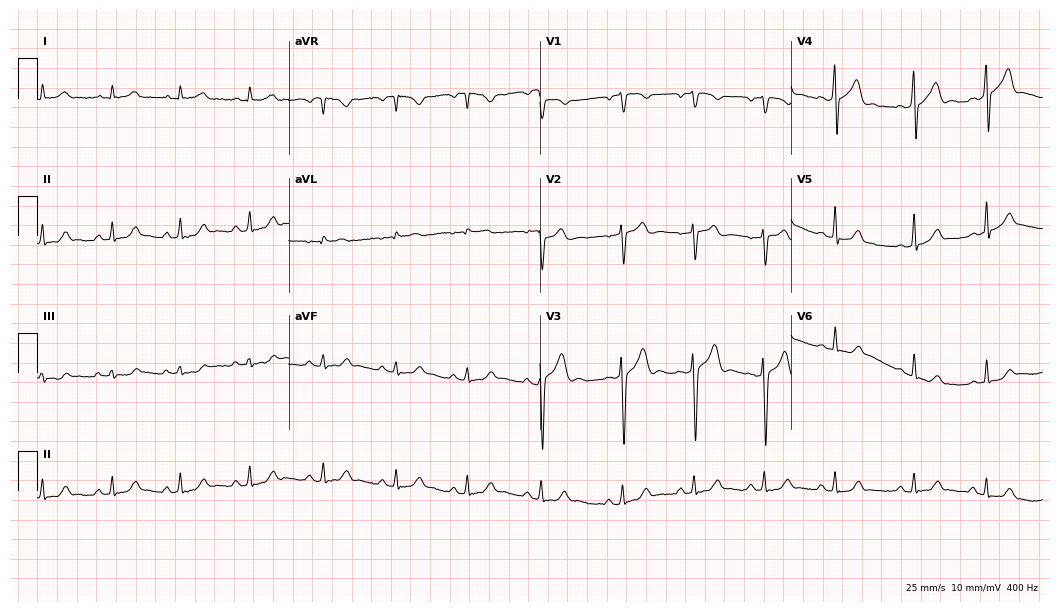
Standard 12-lead ECG recorded from a 22-year-old male (10.2-second recording at 400 Hz). None of these six findings is recorded: first-degree AV block, right bundle branch block, left bundle branch block, sinus bradycardia, atrial fibrillation, sinus tachycardia.